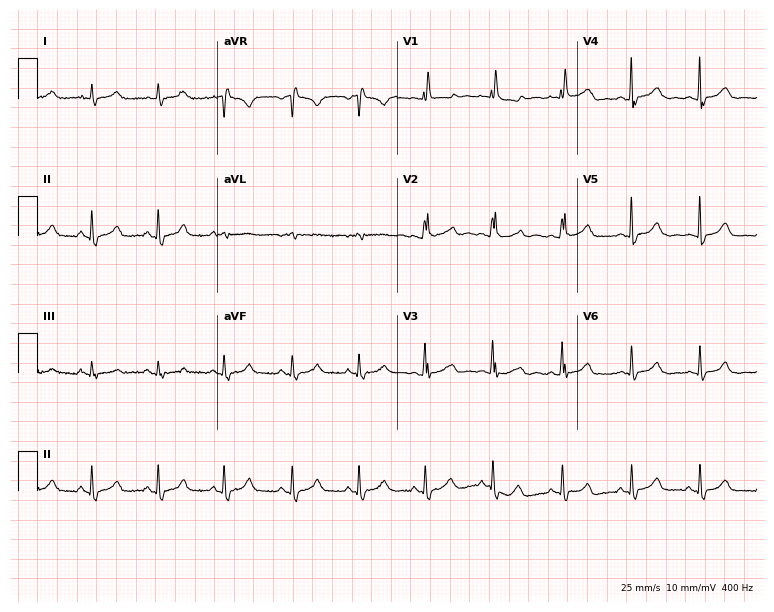
Standard 12-lead ECG recorded from a 34-year-old female (7.3-second recording at 400 Hz). None of these six findings is recorded: first-degree AV block, right bundle branch block (RBBB), left bundle branch block (LBBB), sinus bradycardia, atrial fibrillation (AF), sinus tachycardia.